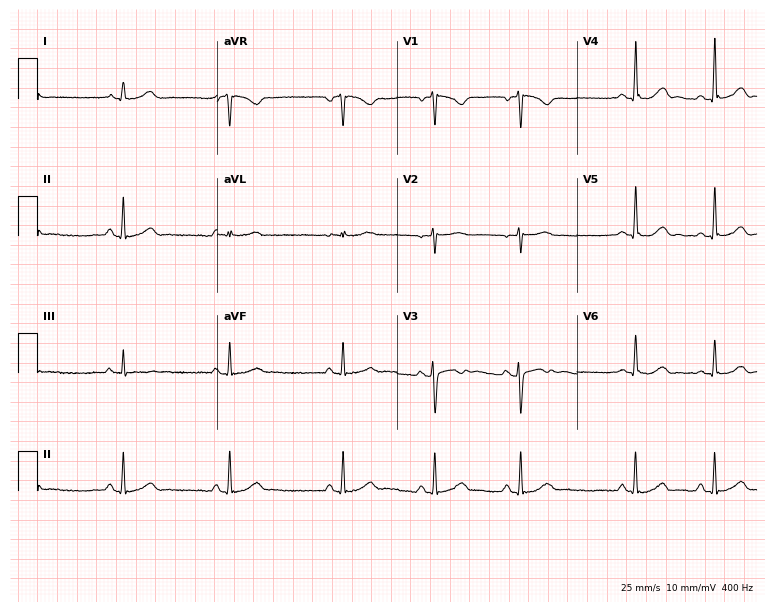
Standard 12-lead ECG recorded from a 22-year-old woman (7.3-second recording at 400 Hz). Read as a normal ECG.